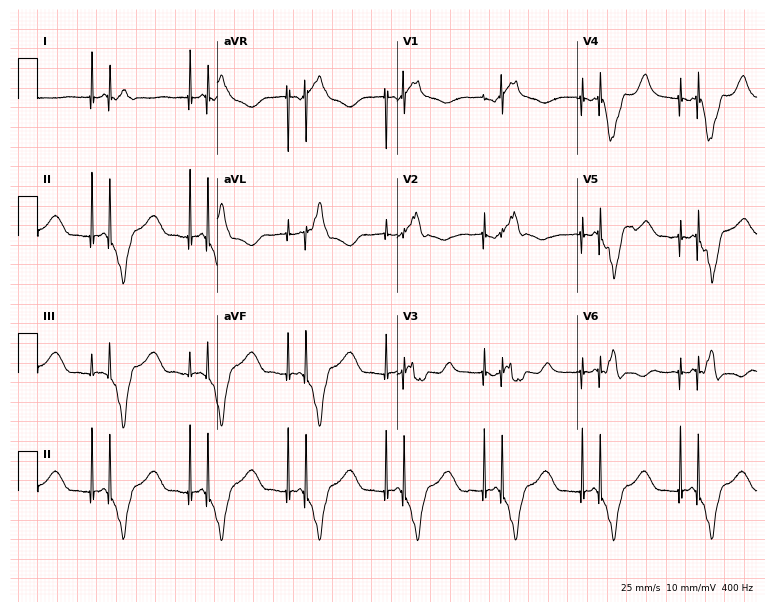
Electrocardiogram (7.3-second recording at 400 Hz), a 62-year-old male patient. Of the six screened findings (first-degree AV block, right bundle branch block, left bundle branch block, sinus bradycardia, atrial fibrillation, sinus tachycardia), none is recorded. Other findings, if any, are not listed.